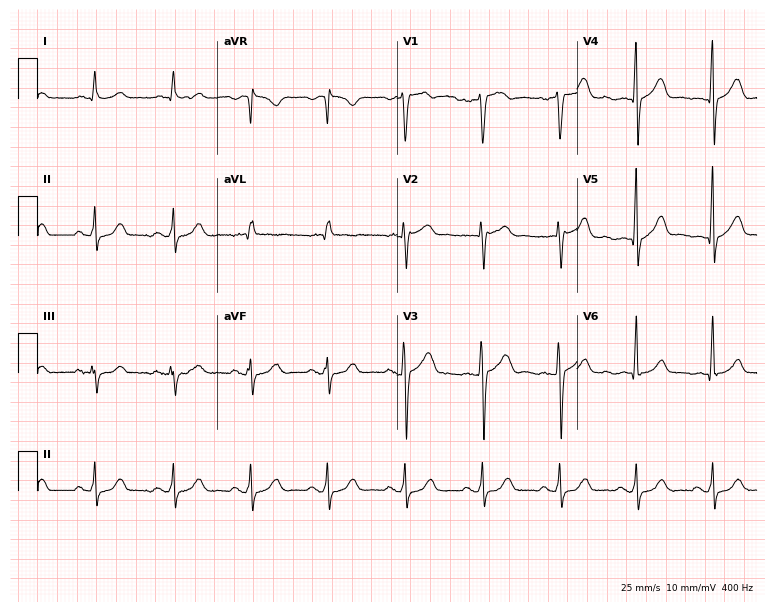
12-lead ECG from a male, 63 years old. Recorded interpretation: within normal limits.